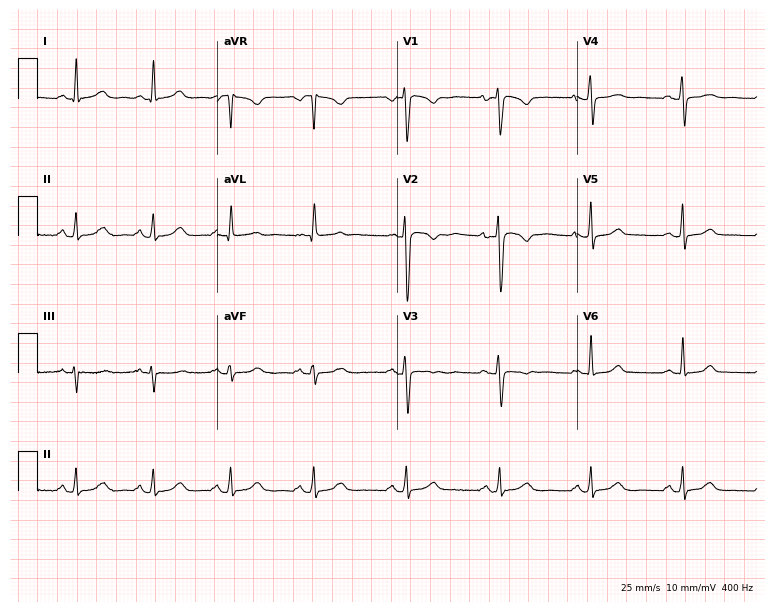
12-lead ECG from a female patient, 31 years old (7.3-second recording at 400 Hz). No first-degree AV block, right bundle branch block, left bundle branch block, sinus bradycardia, atrial fibrillation or sinus tachycardia recorded for this tracing. Findings outside these six are not listed.